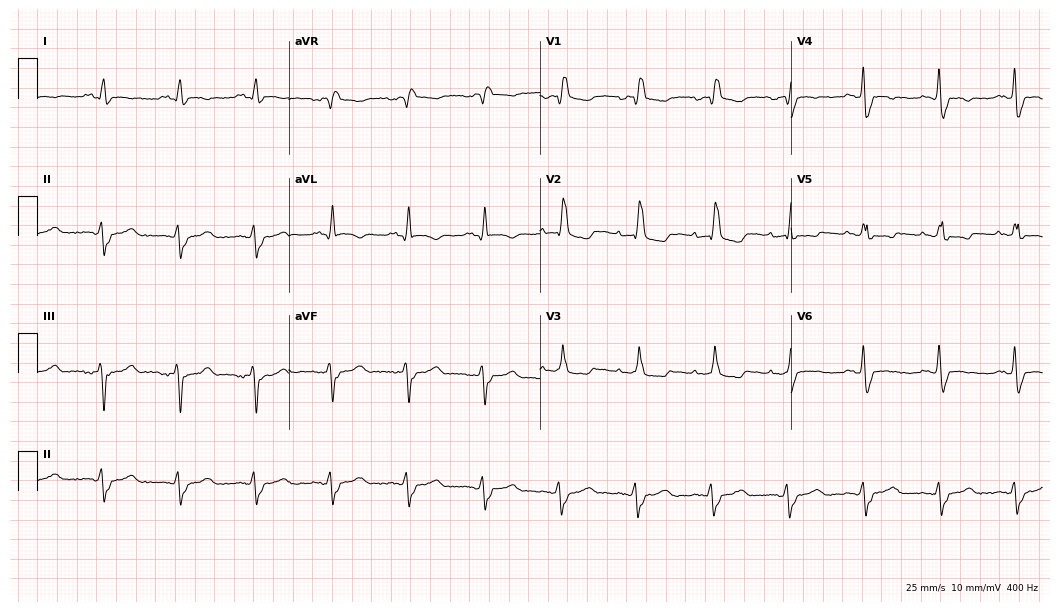
Electrocardiogram (10.2-second recording at 400 Hz), a female, 79 years old. Interpretation includes right bundle branch block.